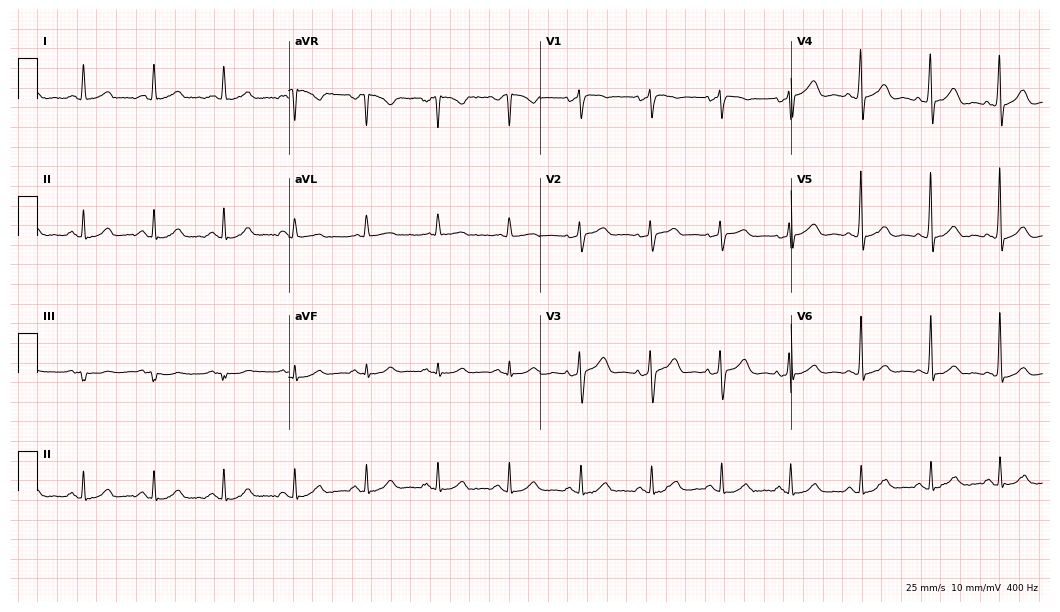
ECG — a female patient, 67 years old. Labelled as a normal ECG.